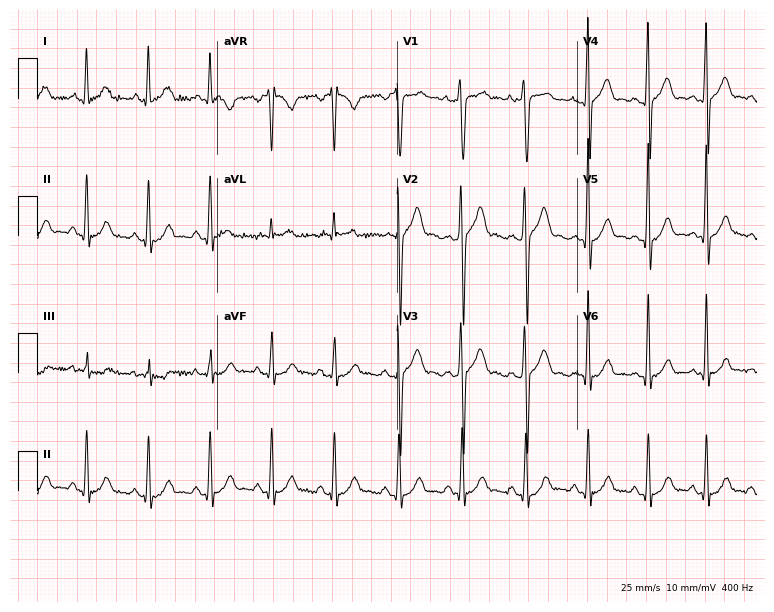
ECG (7.3-second recording at 400 Hz) — a male patient, 18 years old. Screened for six findings — first-degree AV block, right bundle branch block (RBBB), left bundle branch block (LBBB), sinus bradycardia, atrial fibrillation (AF), sinus tachycardia — none is recorded. Findings outside these six are not listed.